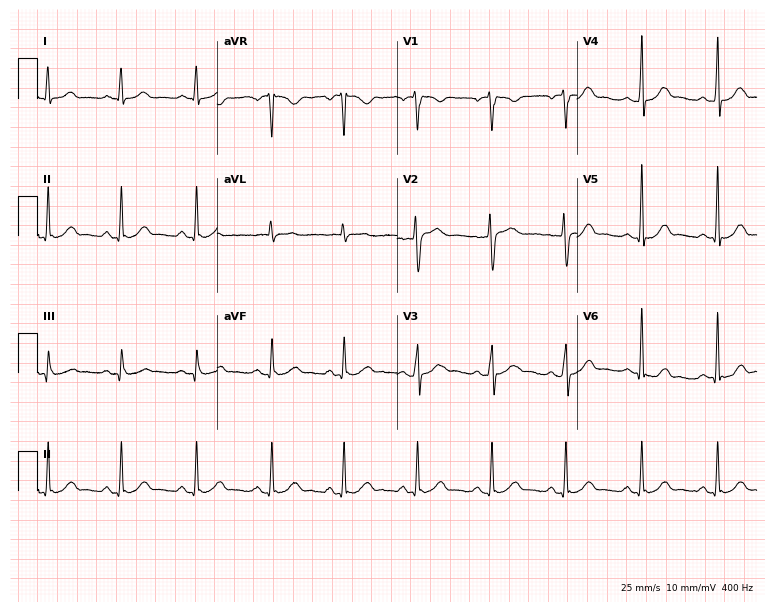
Resting 12-lead electrocardiogram (7.3-second recording at 400 Hz). Patient: a 35-year-old female. Read as a normal ECG.